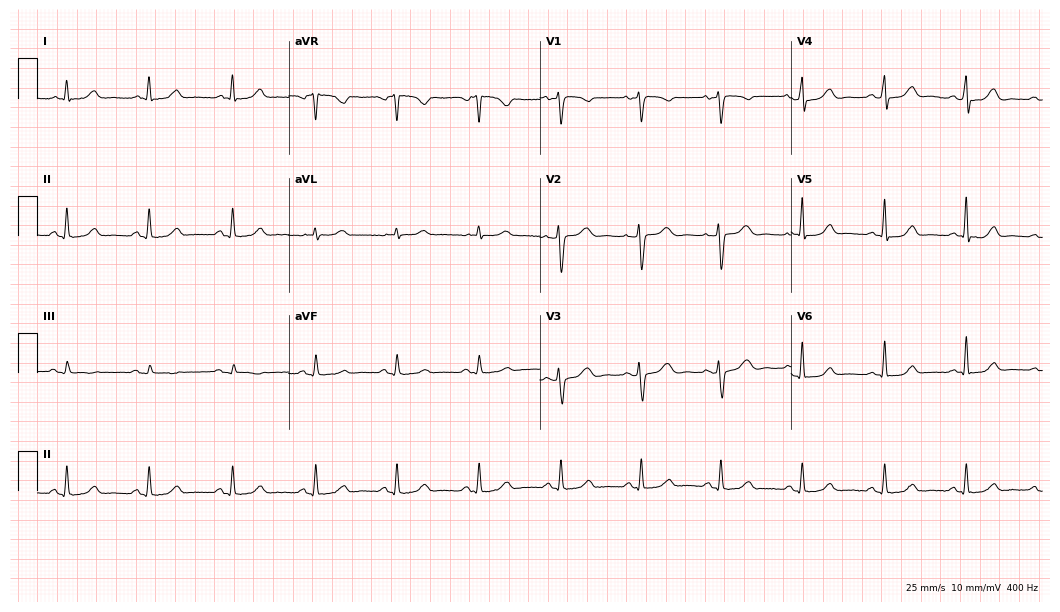
Standard 12-lead ECG recorded from a female, 51 years old (10.2-second recording at 400 Hz). Read as a normal ECG.